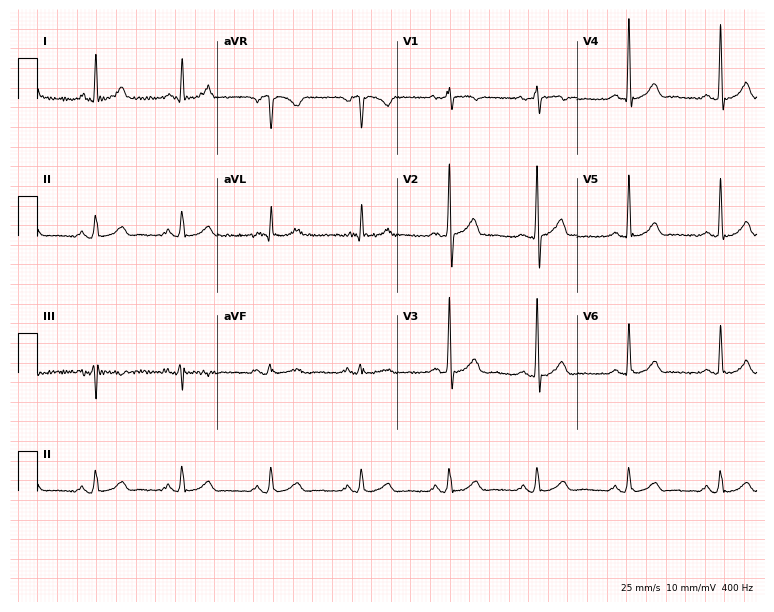
ECG — a 57-year-old male patient. Labelled as a normal ECG.